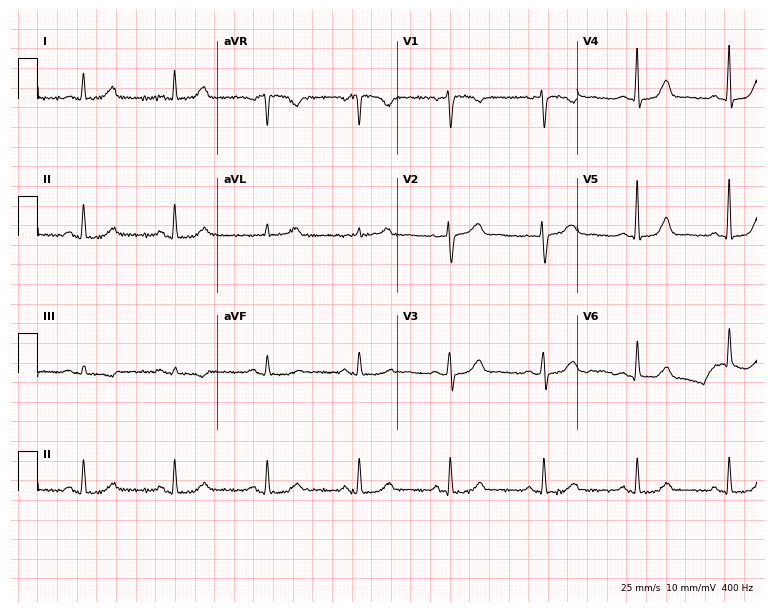
Resting 12-lead electrocardiogram (7.3-second recording at 400 Hz). Patient: a 45-year-old woman. Read as a normal ECG.